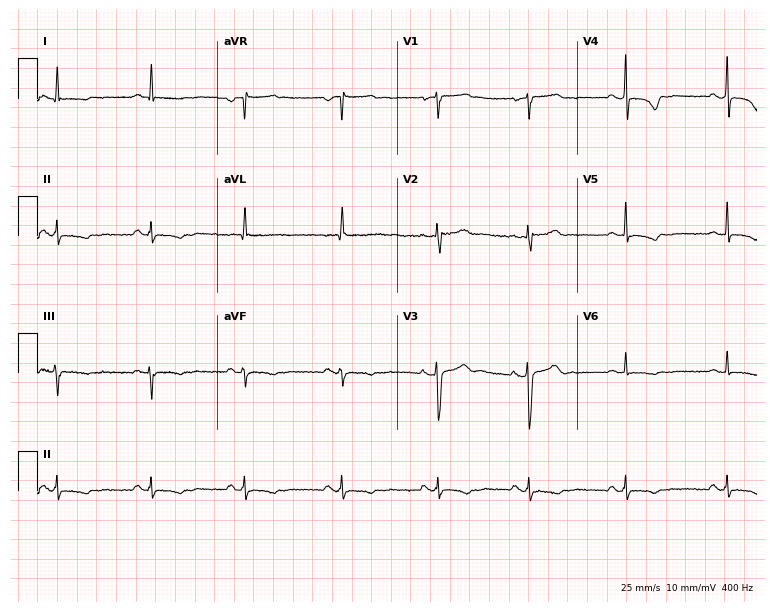
12-lead ECG from a woman, 40 years old. Screened for six findings — first-degree AV block, right bundle branch block, left bundle branch block, sinus bradycardia, atrial fibrillation, sinus tachycardia — none is recorded.